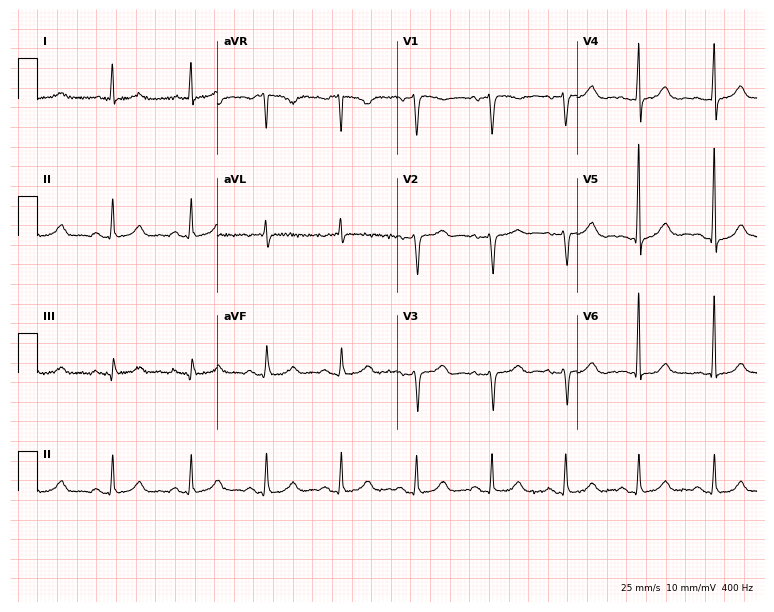
Resting 12-lead electrocardiogram (7.3-second recording at 400 Hz). Patient: a woman, 74 years old. None of these six findings is recorded: first-degree AV block, right bundle branch block, left bundle branch block, sinus bradycardia, atrial fibrillation, sinus tachycardia.